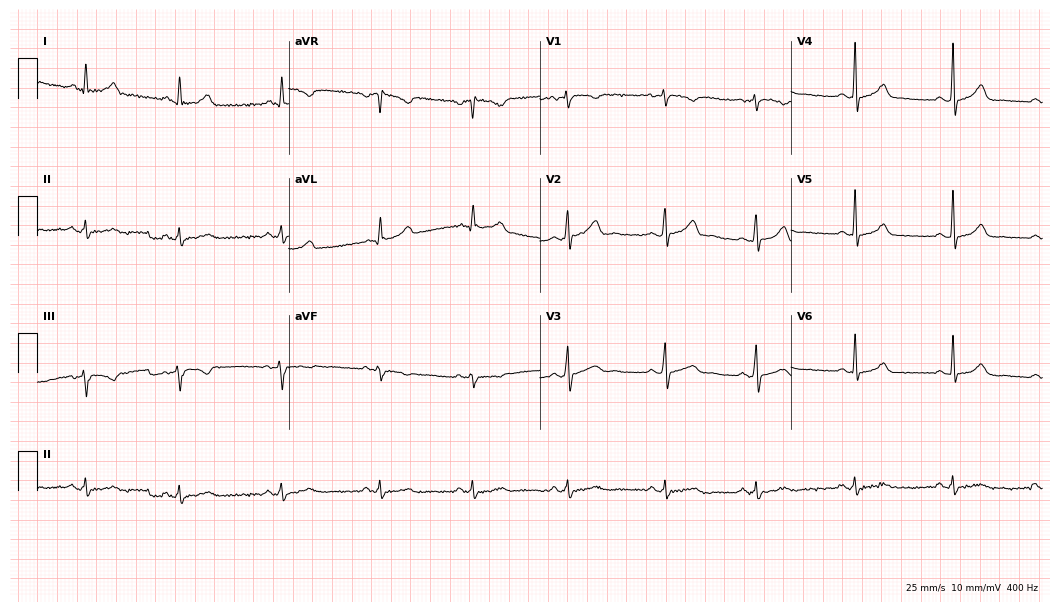
Electrocardiogram, a 29-year-old female. Overall reading on record: normal ECG.